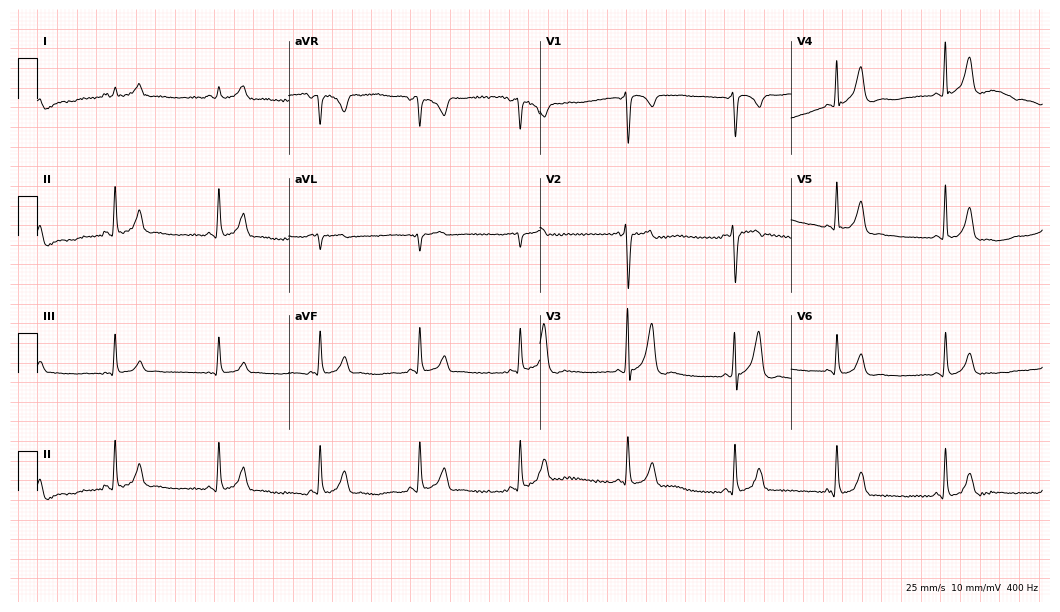
Standard 12-lead ECG recorded from a 35-year-old male patient (10.2-second recording at 400 Hz). Read as a normal ECG.